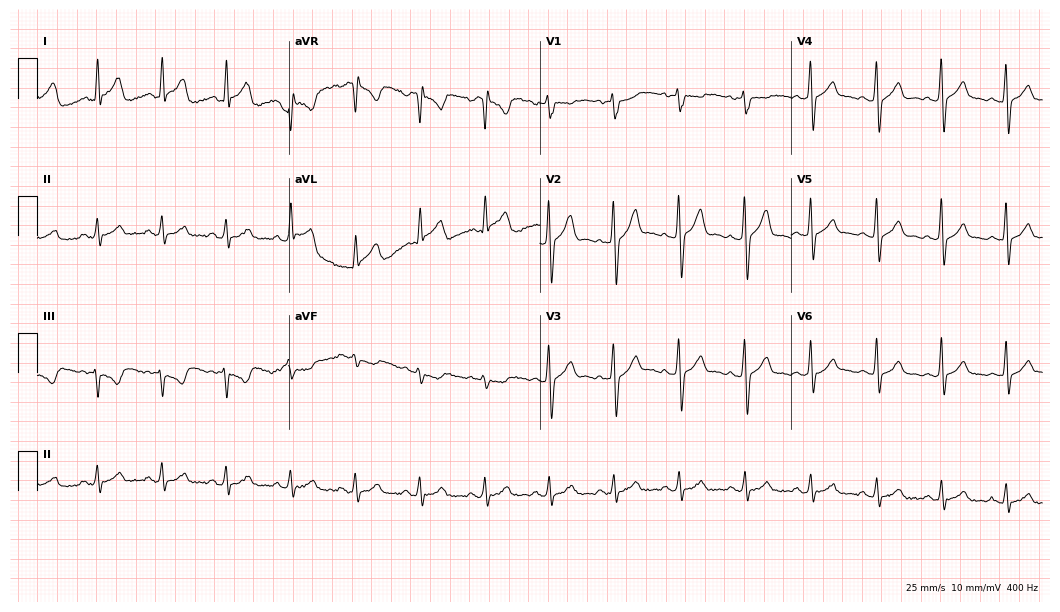
Standard 12-lead ECG recorded from a male patient, 27 years old. Read as a normal ECG.